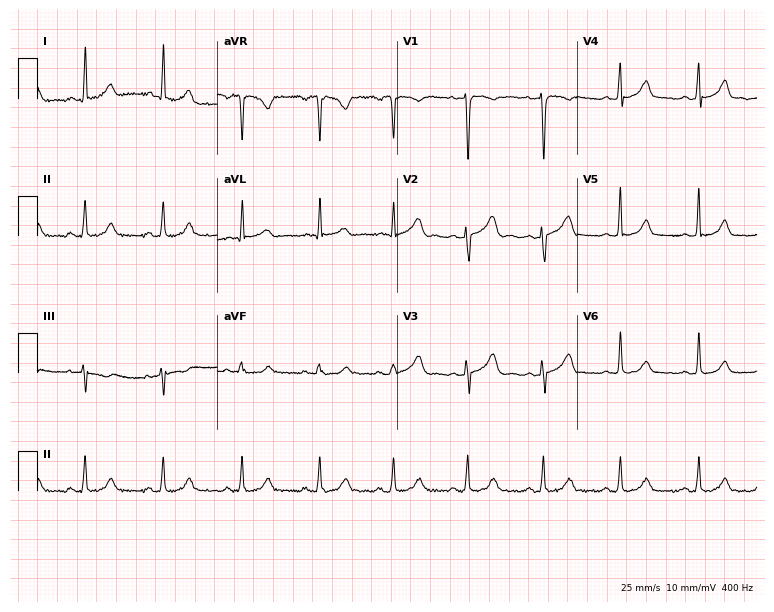
12-lead ECG from a 21-year-old female patient. Recorded interpretation: within normal limits.